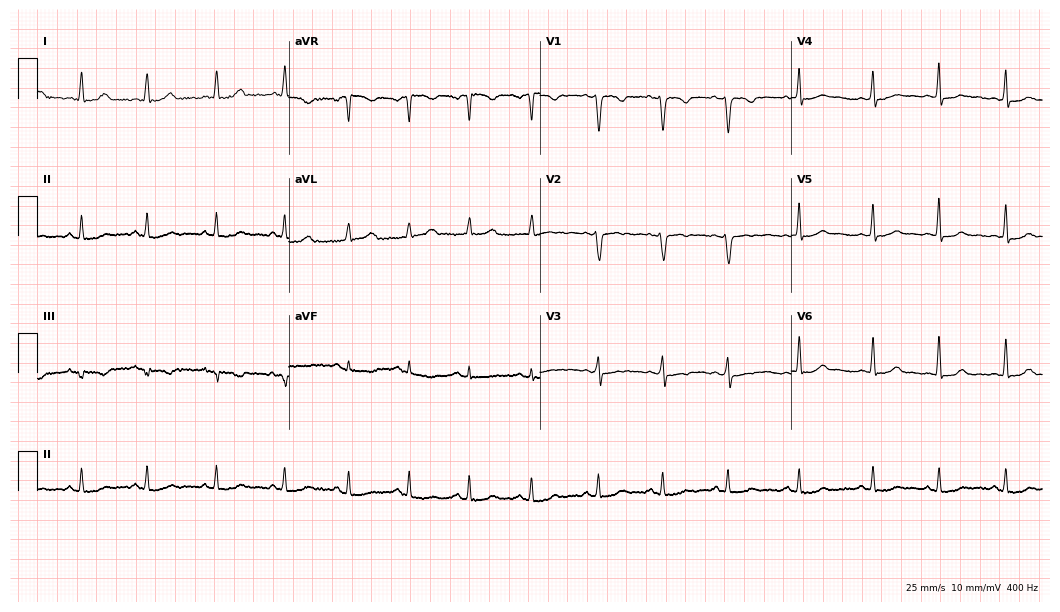
12-lead ECG from a female, 39 years old. No first-degree AV block, right bundle branch block (RBBB), left bundle branch block (LBBB), sinus bradycardia, atrial fibrillation (AF) or sinus tachycardia recorded for this tracing.